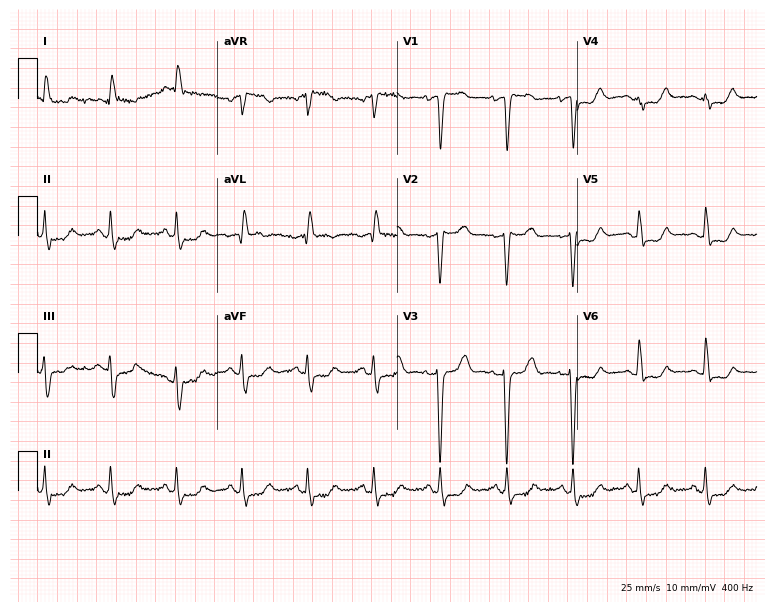
Electrocardiogram, a 71-year-old female patient. Of the six screened findings (first-degree AV block, right bundle branch block, left bundle branch block, sinus bradycardia, atrial fibrillation, sinus tachycardia), none is recorded.